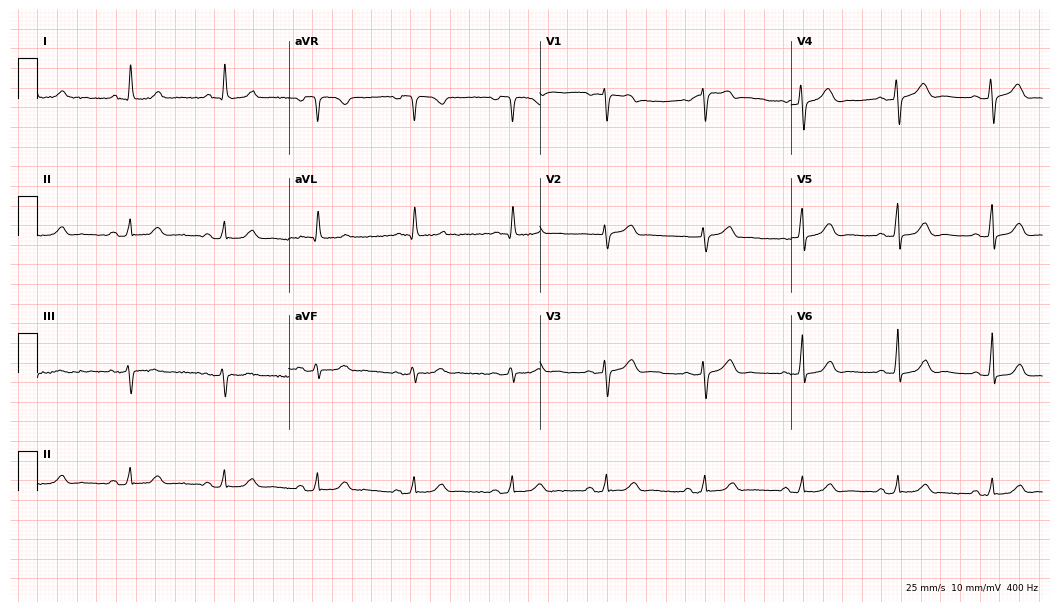
12-lead ECG from a female, 64 years old. Recorded interpretation: within normal limits.